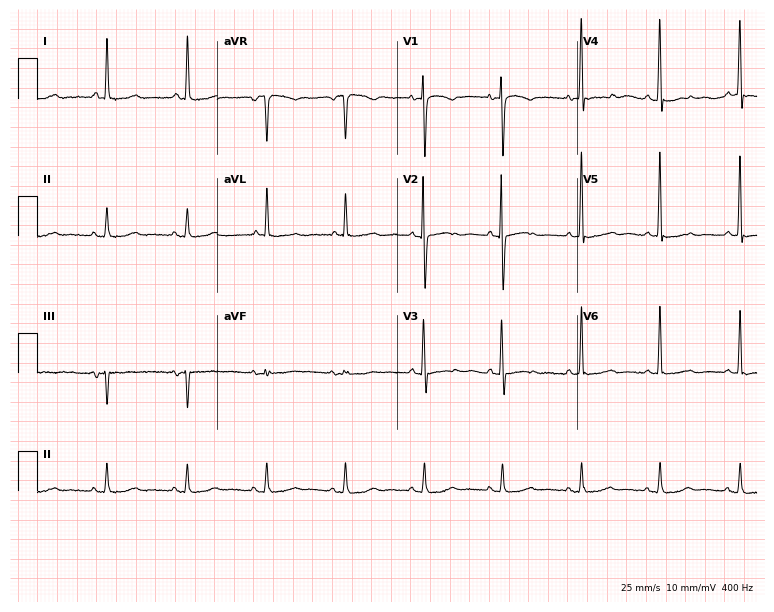
ECG — an 82-year-old female patient. Screened for six findings — first-degree AV block, right bundle branch block, left bundle branch block, sinus bradycardia, atrial fibrillation, sinus tachycardia — none is recorded. Only these six findings were labelled.